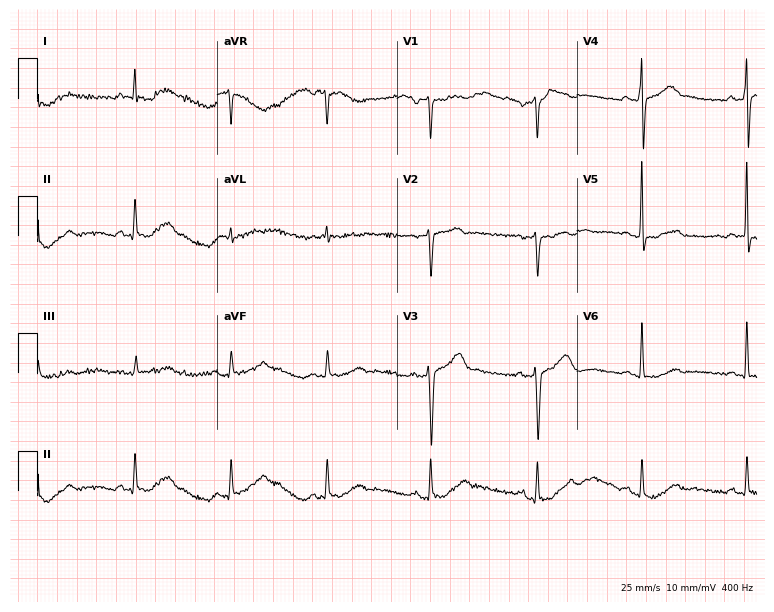
Electrocardiogram (7.3-second recording at 400 Hz), a 70-year-old man. Of the six screened findings (first-degree AV block, right bundle branch block, left bundle branch block, sinus bradycardia, atrial fibrillation, sinus tachycardia), none is recorded. Other findings, if any, are not listed.